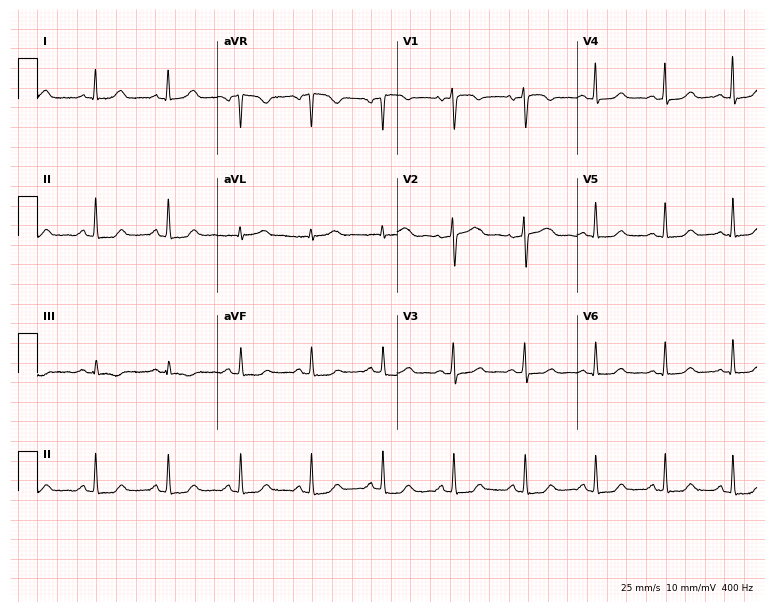
Resting 12-lead electrocardiogram (7.3-second recording at 400 Hz). Patient: a 43-year-old woman. Read as a normal ECG.